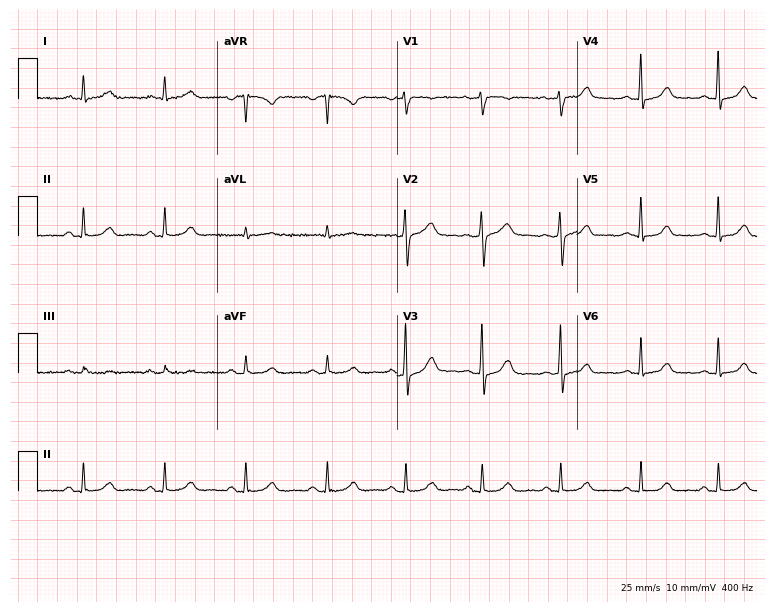
12-lead ECG from a 46-year-old woman (7.3-second recording at 400 Hz). No first-degree AV block, right bundle branch block, left bundle branch block, sinus bradycardia, atrial fibrillation or sinus tachycardia recorded for this tracing. Other findings, if any, are not listed.